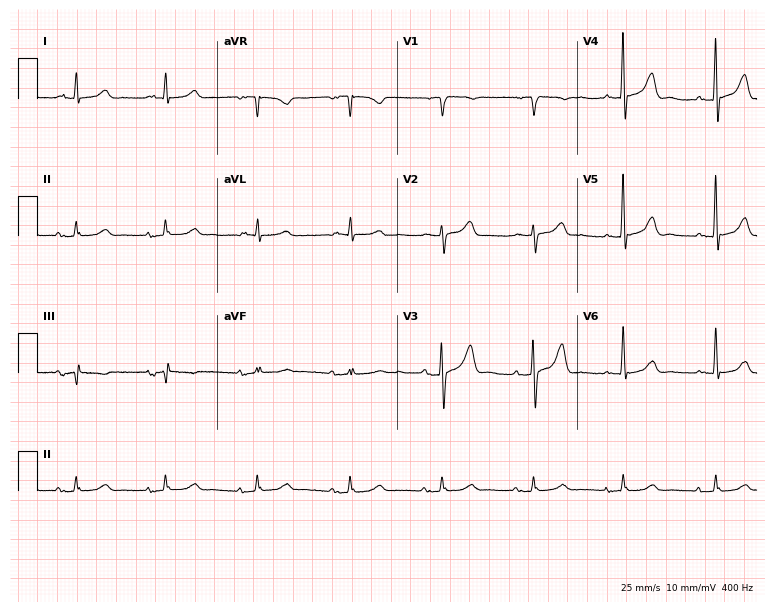
Resting 12-lead electrocardiogram (7.3-second recording at 400 Hz). Patient: an 81-year-old man. Read as a normal ECG.